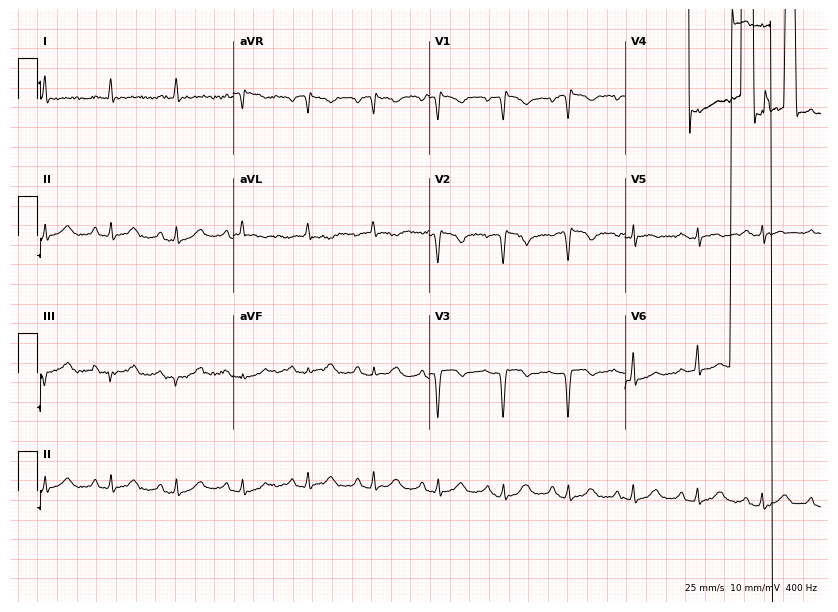
Resting 12-lead electrocardiogram. Patient: a 62-year-old man. None of these six findings is recorded: first-degree AV block, right bundle branch block (RBBB), left bundle branch block (LBBB), sinus bradycardia, atrial fibrillation (AF), sinus tachycardia. Only these six findings were labelled.